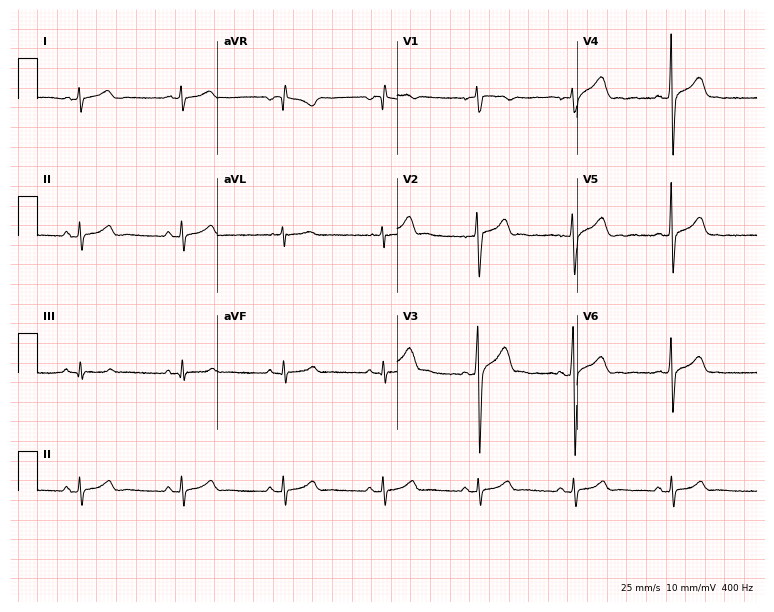
12-lead ECG from a male, 24 years old. Recorded interpretation: within normal limits.